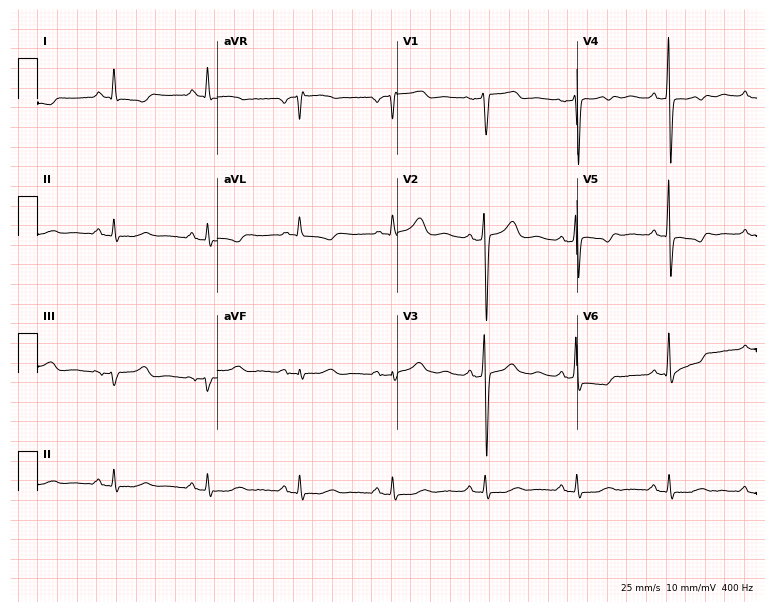
Electrocardiogram (7.3-second recording at 400 Hz), a male, 46 years old. Of the six screened findings (first-degree AV block, right bundle branch block (RBBB), left bundle branch block (LBBB), sinus bradycardia, atrial fibrillation (AF), sinus tachycardia), none is recorded. Other findings, if any, are not listed.